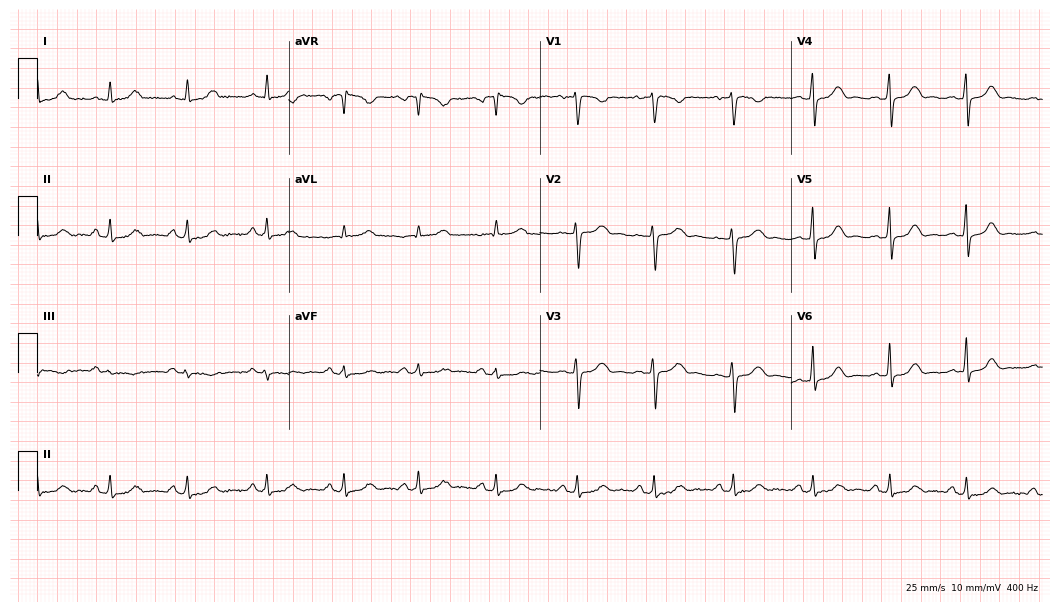
Standard 12-lead ECG recorded from a female, 43 years old. Read as a normal ECG.